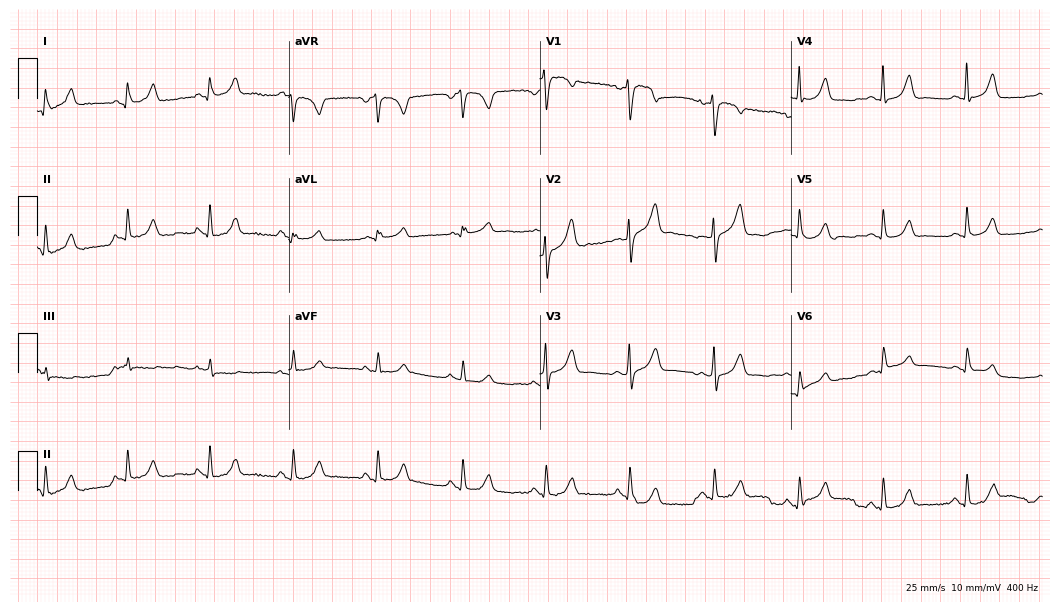
Standard 12-lead ECG recorded from a female patient, 45 years old. Read as a normal ECG.